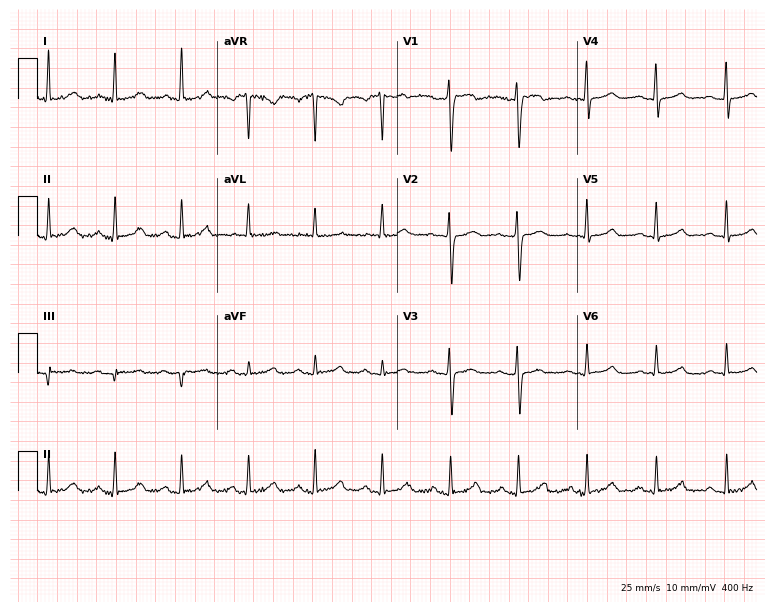
Electrocardiogram (7.3-second recording at 400 Hz), a 46-year-old female patient. Of the six screened findings (first-degree AV block, right bundle branch block, left bundle branch block, sinus bradycardia, atrial fibrillation, sinus tachycardia), none is recorded. Other findings, if any, are not listed.